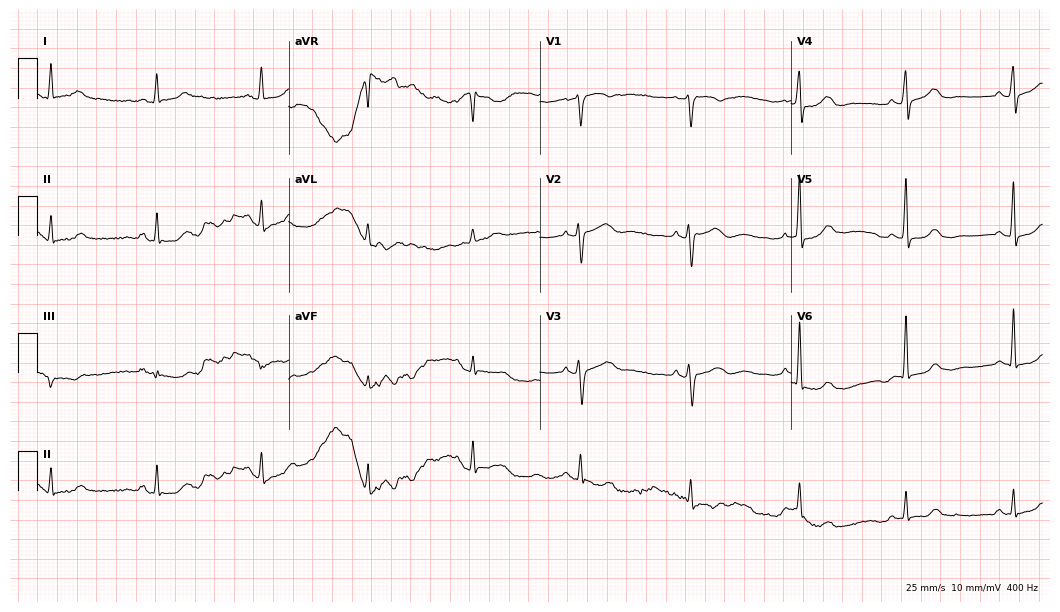
Electrocardiogram (10.2-second recording at 400 Hz), a female patient, 77 years old. Of the six screened findings (first-degree AV block, right bundle branch block (RBBB), left bundle branch block (LBBB), sinus bradycardia, atrial fibrillation (AF), sinus tachycardia), none is recorded.